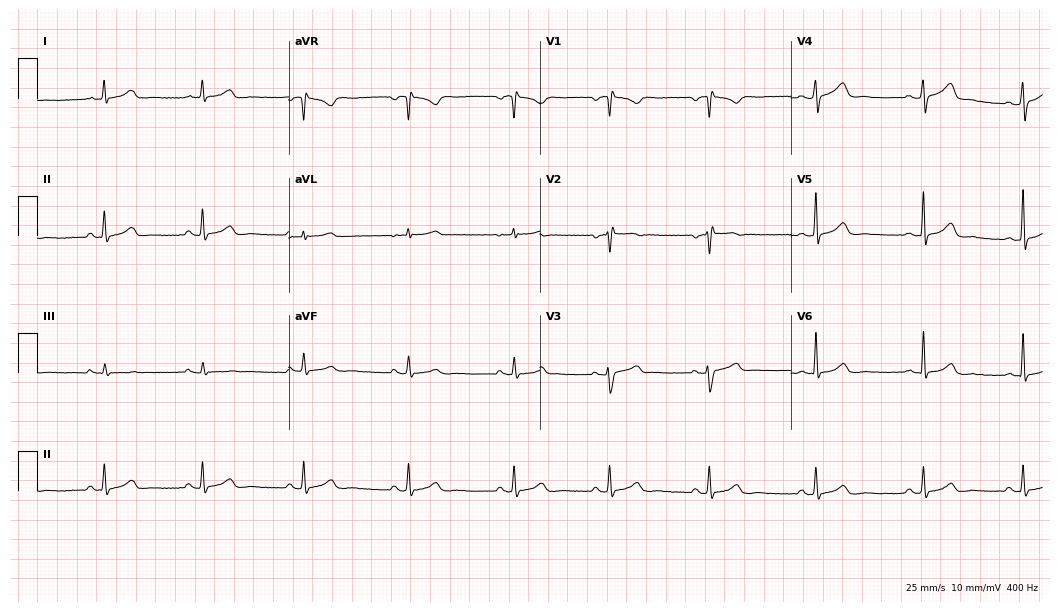
Resting 12-lead electrocardiogram (10.2-second recording at 400 Hz). Patient: a 33-year-old female. Read as a normal ECG.